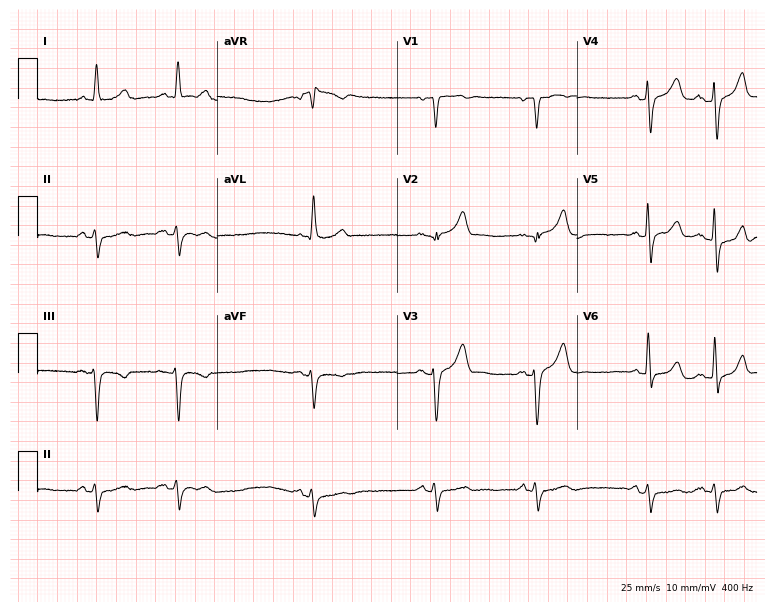
Resting 12-lead electrocardiogram. Patient: a man, 73 years old. None of these six findings is recorded: first-degree AV block, right bundle branch block, left bundle branch block, sinus bradycardia, atrial fibrillation, sinus tachycardia.